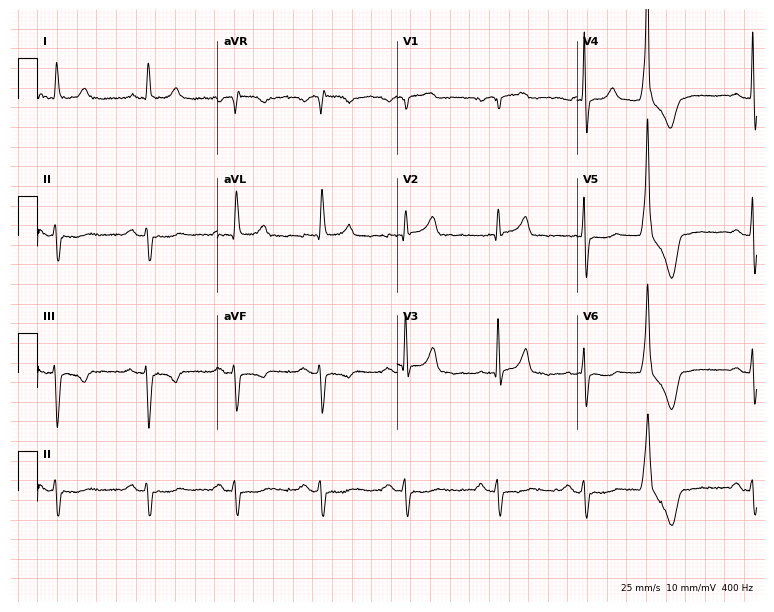
Electrocardiogram, a male patient, 79 years old. Of the six screened findings (first-degree AV block, right bundle branch block (RBBB), left bundle branch block (LBBB), sinus bradycardia, atrial fibrillation (AF), sinus tachycardia), none is recorded.